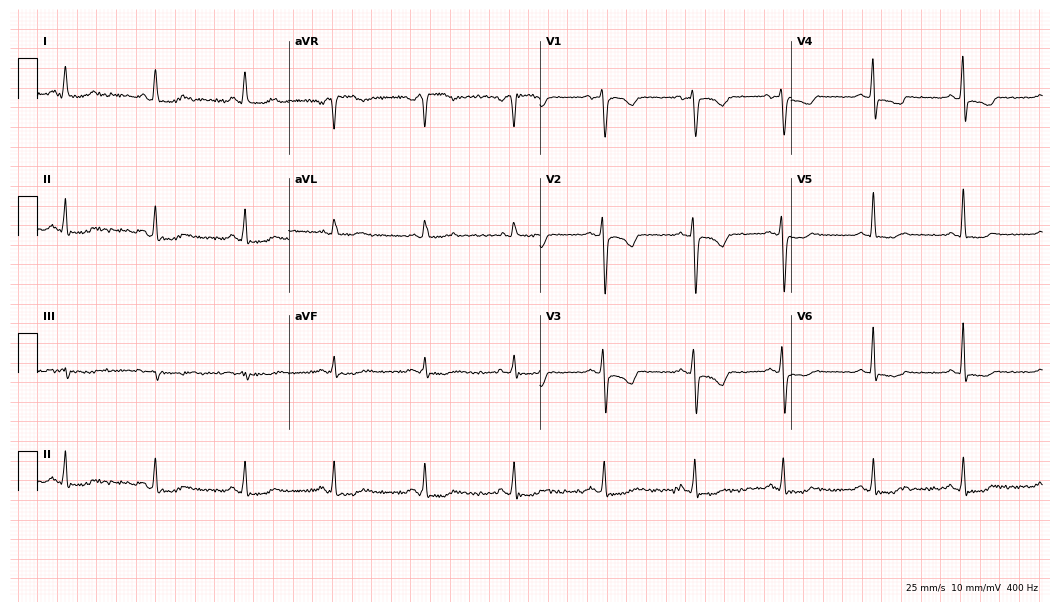
ECG — a woman, 54 years old. Screened for six findings — first-degree AV block, right bundle branch block, left bundle branch block, sinus bradycardia, atrial fibrillation, sinus tachycardia — none is recorded. Only these six findings were labelled.